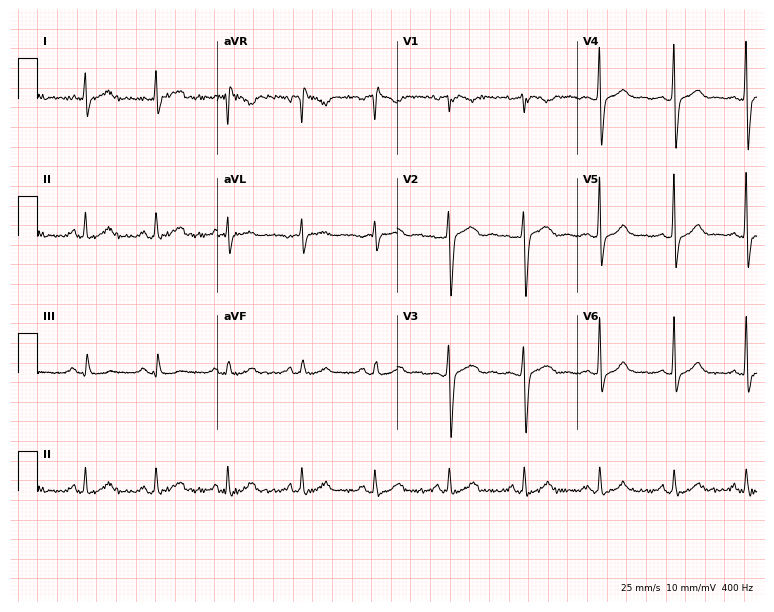
Electrocardiogram, a 29-year-old male. Overall reading on record: normal ECG.